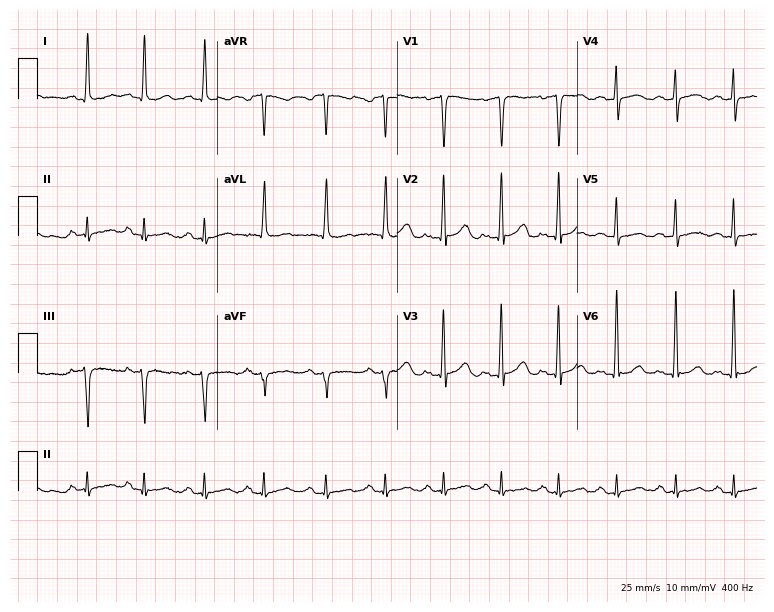
ECG (7.3-second recording at 400 Hz) — a female, 55 years old. Screened for six findings — first-degree AV block, right bundle branch block (RBBB), left bundle branch block (LBBB), sinus bradycardia, atrial fibrillation (AF), sinus tachycardia — none is recorded. Only these six findings were labelled.